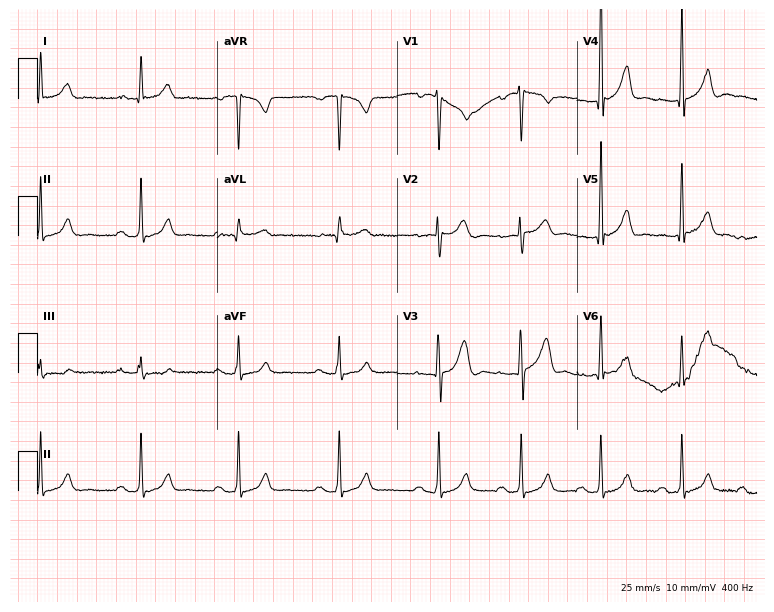
12-lead ECG from a 40-year-old male (7.3-second recording at 400 Hz). Recorded interpretation: within normal limits.